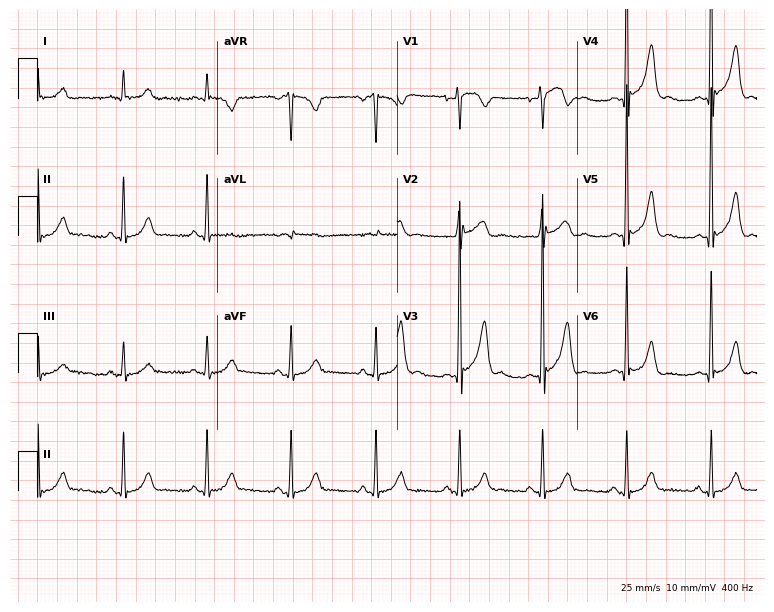
Standard 12-lead ECG recorded from a 49-year-old male patient (7.3-second recording at 400 Hz). None of these six findings is recorded: first-degree AV block, right bundle branch block (RBBB), left bundle branch block (LBBB), sinus bradycardia, atrial fibrillation (AF), sinus tachycardia.